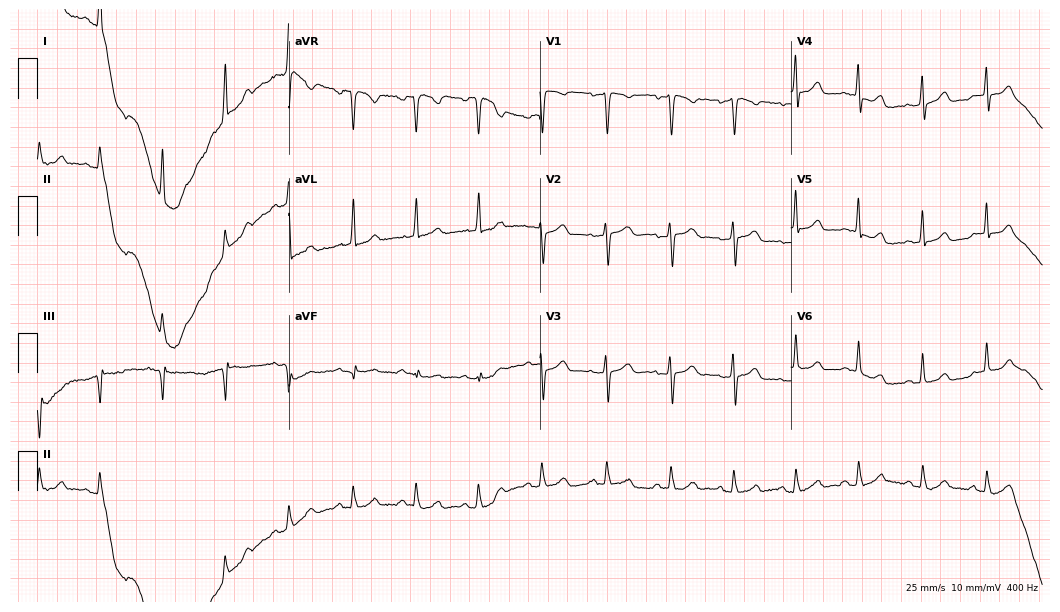
Resting 12-lead electrocardiogram. Patient: a female, 37 years old. Read as a normal ECG.